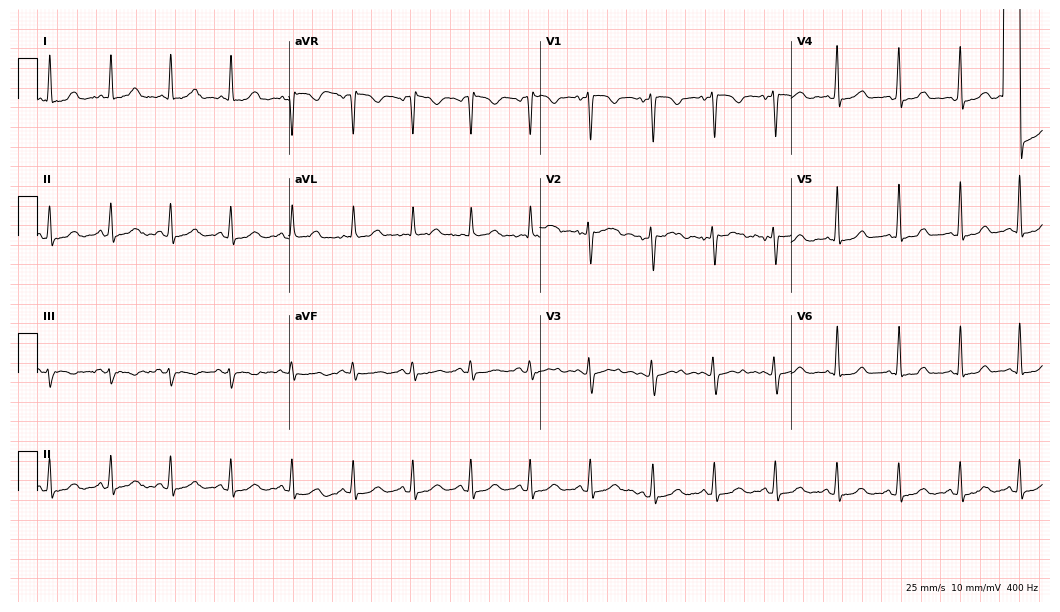
12-lead ECG from a female, 37 years old. No first-degree AV block, right bundle branch block, left bundle branch block, sinus bradycardia, atrial fibrillation or sinus tachycardia recorded for this tracing. Other findings, if any, are not listed.